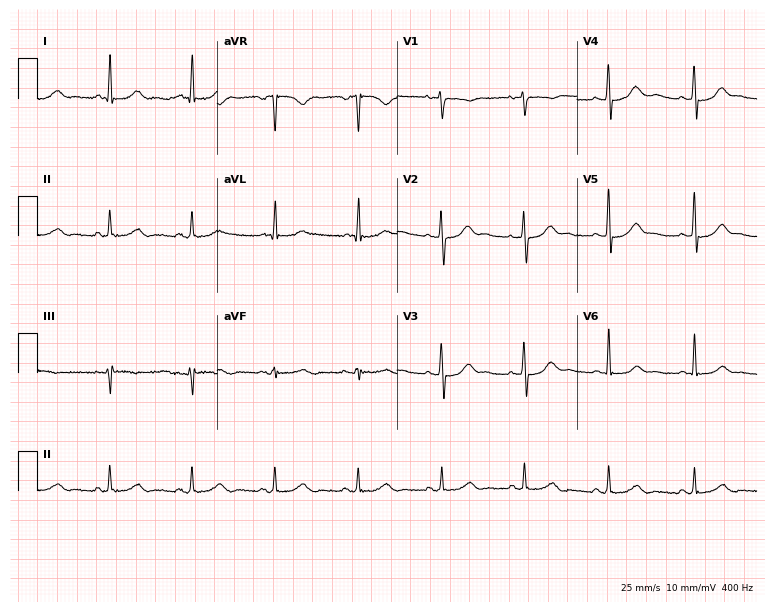
12-lead ECG from a woman, 64 years old. Recorded interpretation: within normal limits.